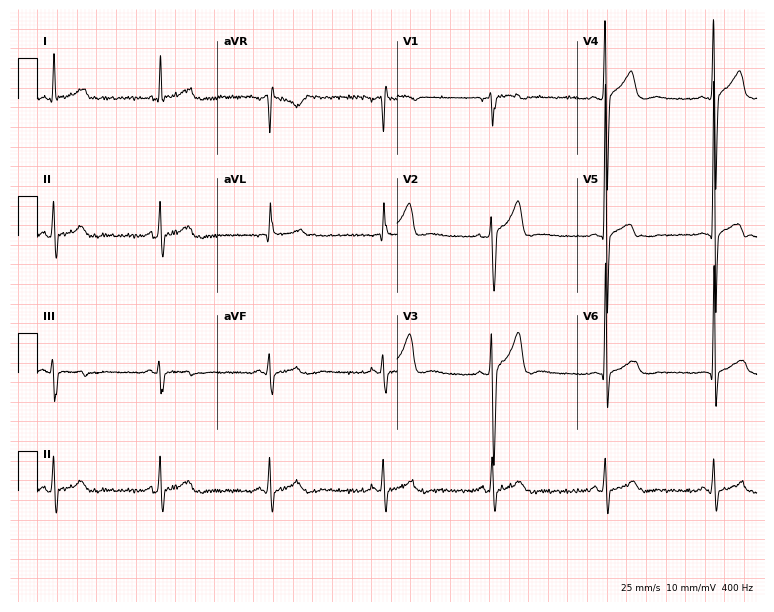
ECG — a 39-year-old male. Screened for six findings — first-degree AV block, right bundle branch block (RBBB), left bundle branch block (LBBB), sinus bradycardia, atrial fibrillation (AF), sinus tachycardia — none is recorded. Findings outside these six are not listed.